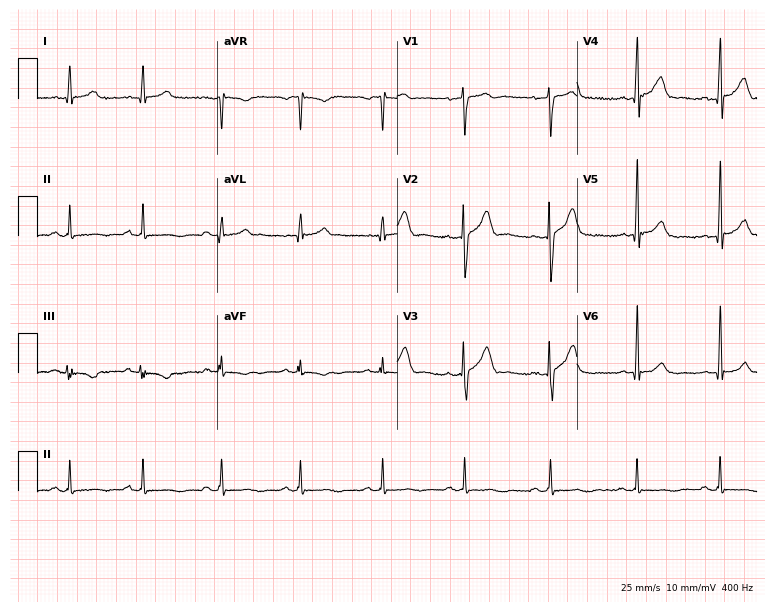
ECG (7.3-second recording at 400 Hz) — a 29-year-old male. Labelled as a normal ECG.